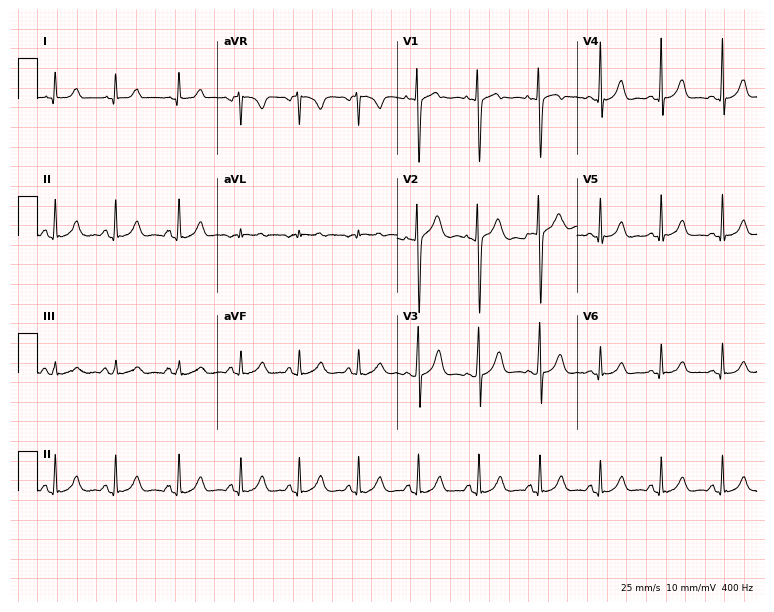
12-lead ECG from a female patient, 18 years old (7.3-second recording at 400 Hz). No first-degree AV block, right bundle branch block, left bundle branch block, sinus bradycardia, atrial fibrillation or sinus tachycardia recorded for this tracing. Other findings, if any, are not listed.